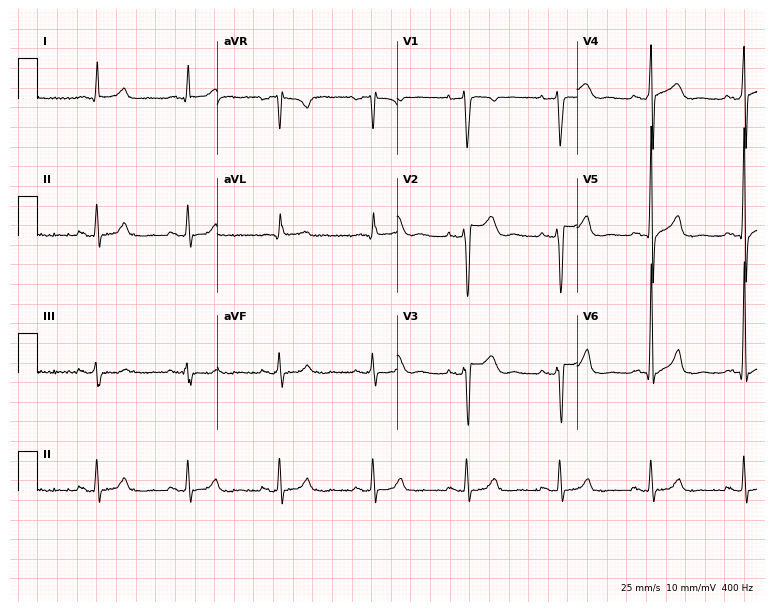
12-lead ECG from a man, 35 years old (7.3-second recording at 400 Hz). No first-degree AV block, right bundle branch block, left bundle branch block, sinus bradycardia, atrial fibrillation or sinus tachycardia recorded for this tracing. Other findings, if any, are not listed.